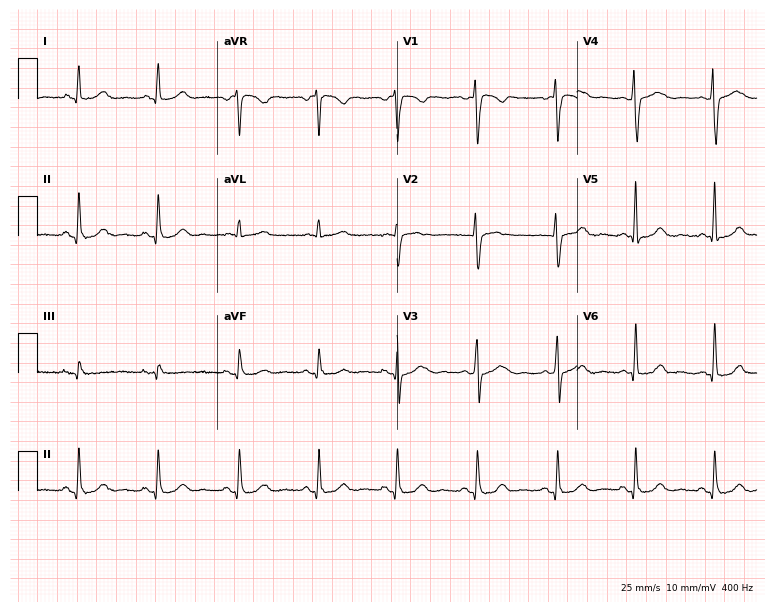
Electrocardiogram (7.3-second recording at 400 Hz), a woman, 49 years old. Of the six screened findings (first-degree AV block, right bundle branch block, left bundle branch block, sinus bradycardia, atrial fibrillation, sinus tachycardia), none is recorded.